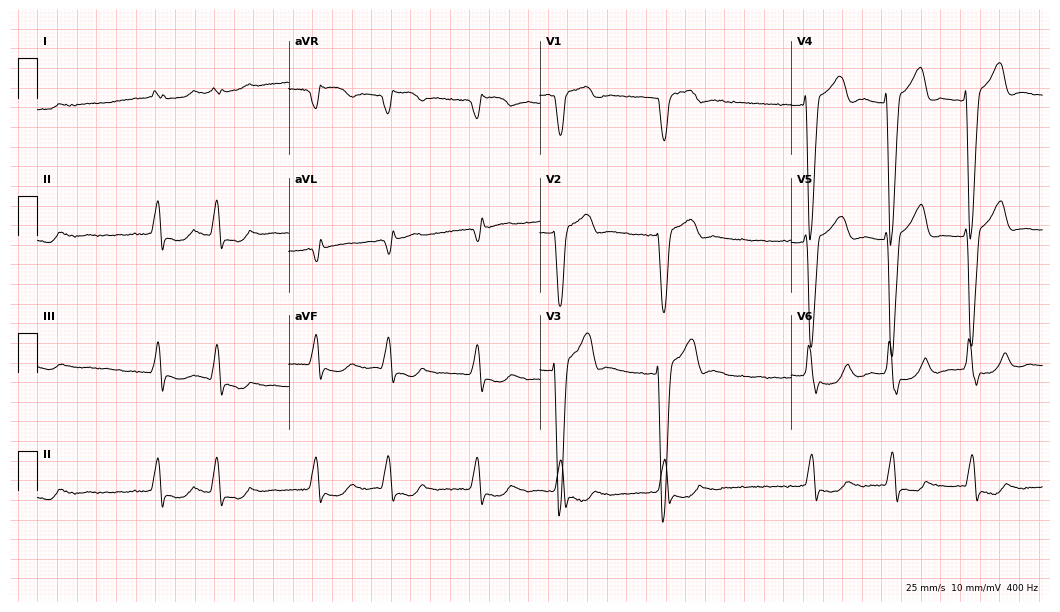
Resting 12-lead electrocardiogram. Patient: a man, 78 years old. The tracing shows left bundle branch block (LBBB), atrial fibrillation (AF).